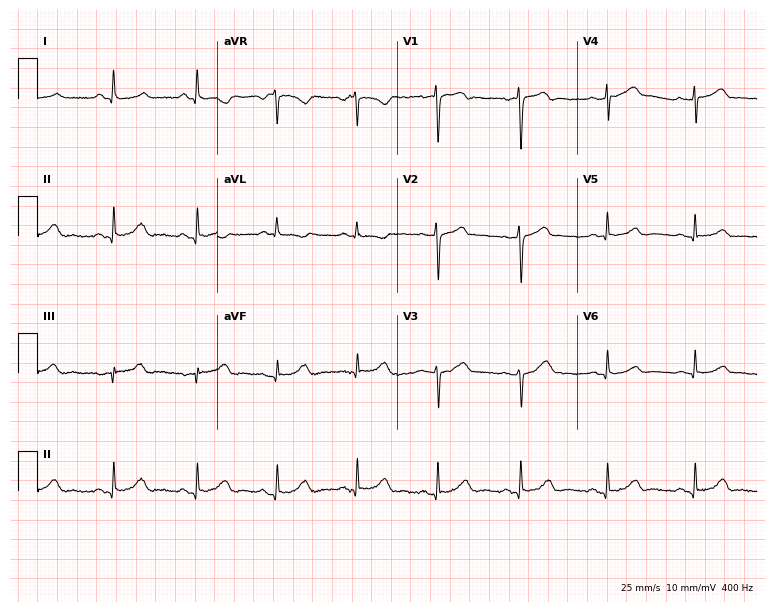
ECG (7.3-second recording at 400 Hz) — a woman, 69 years old. Labelled as a normal ECG.